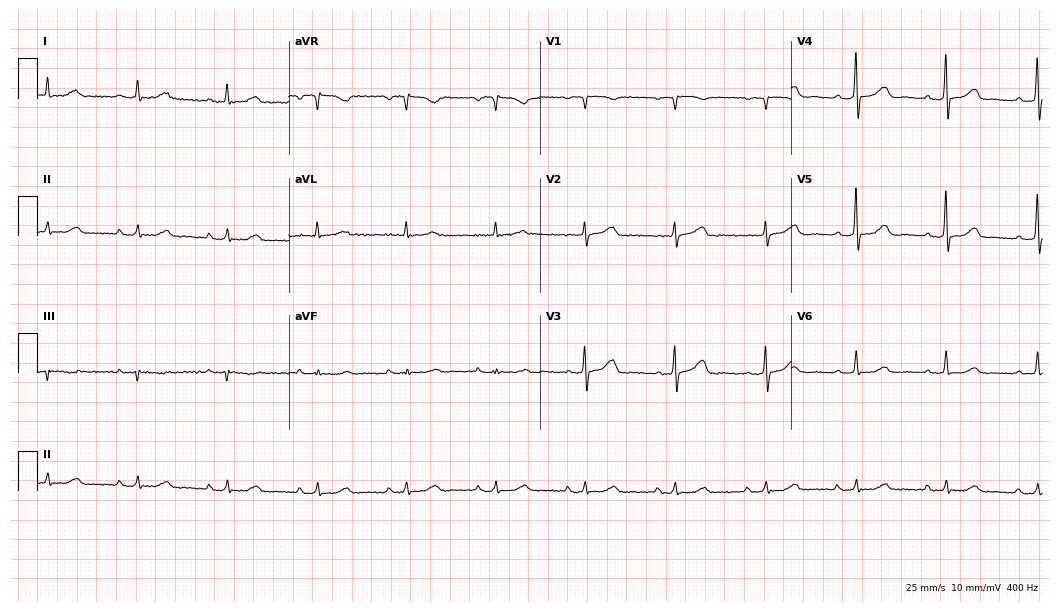
Resting 12-lead electrocardiogram (10.2-second recording at 400 Hz). Patient: a female, 63 years old. None of these six findings is recorded: first-degree AV block, right bundle branch block, left bundle branch block, sinus bradycardia, atrial fibrillation, sinus tachycardia.